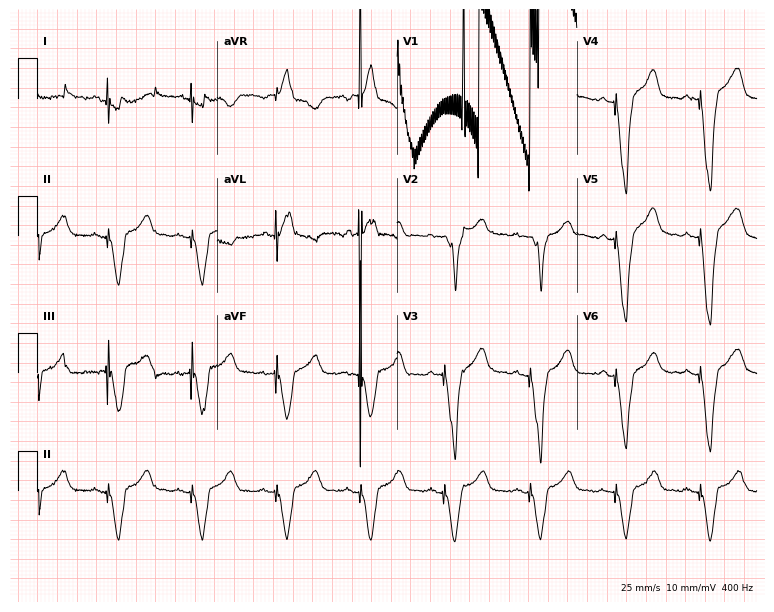
Standard 12-lead ECG recorded from a male patient, 81 years old. None of these six findings is recorded: first-degree AV block, right bundle branch block, left bundle branch block, sinus bradycardia, atrial fibrillation, sinus tachycardia.